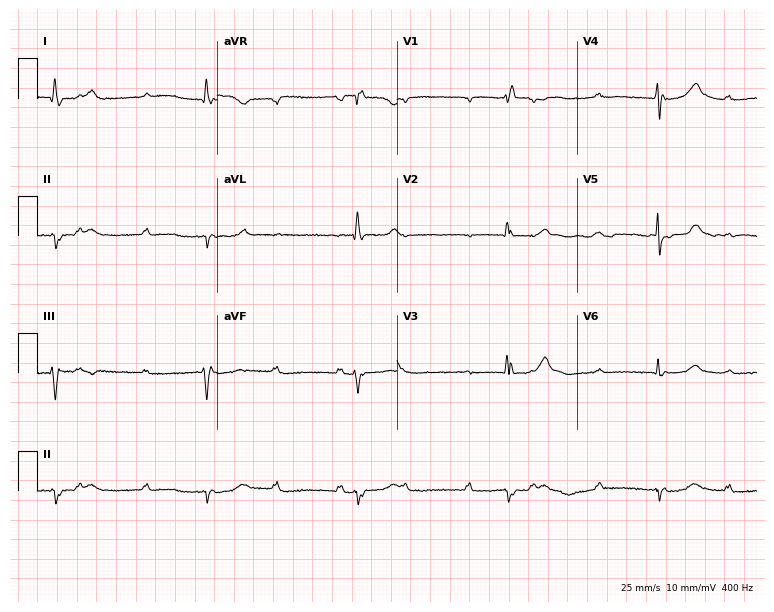
Electrocardiogram, a woman, 73 years old. Of the six screened findings (first-degree AV block, right bundle branch block, left bundle branch block, sinus bradycardia, atrial fibrillation, sinus tachycardia), none is recorded.